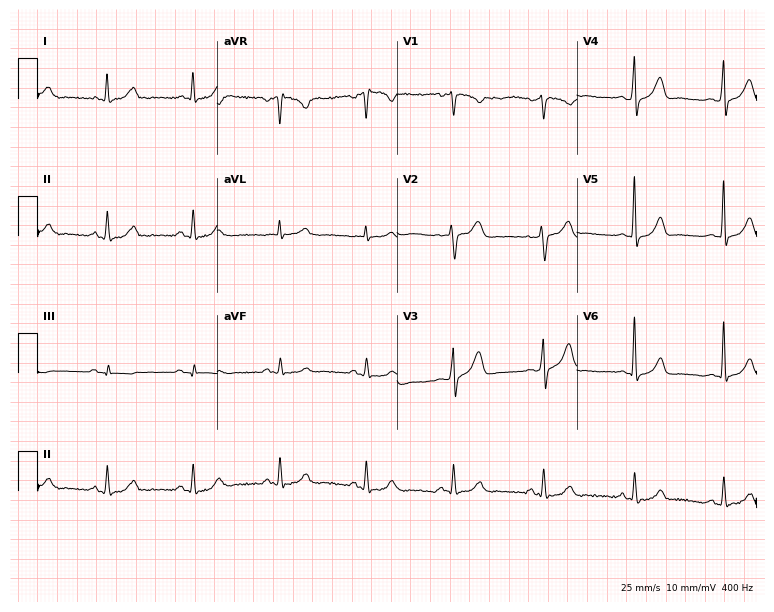
12-lead ECG from a woman, 45 years old. Screened for six findings — first-degree AV block, right bundle branch block, left bundle branch block, sinus bradycardia, atrial fibrillation, sinus tachycardia — none is recorded.